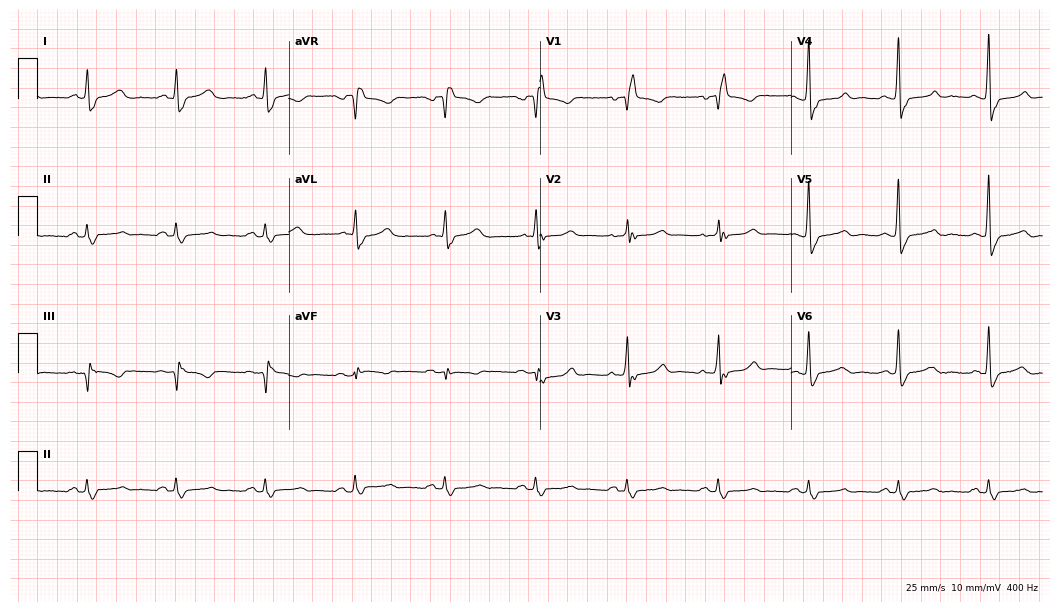
Standard 12-lead ECG recorded from a 70-year-old male patient. The tracing shows right bundle branch block (RBBB).